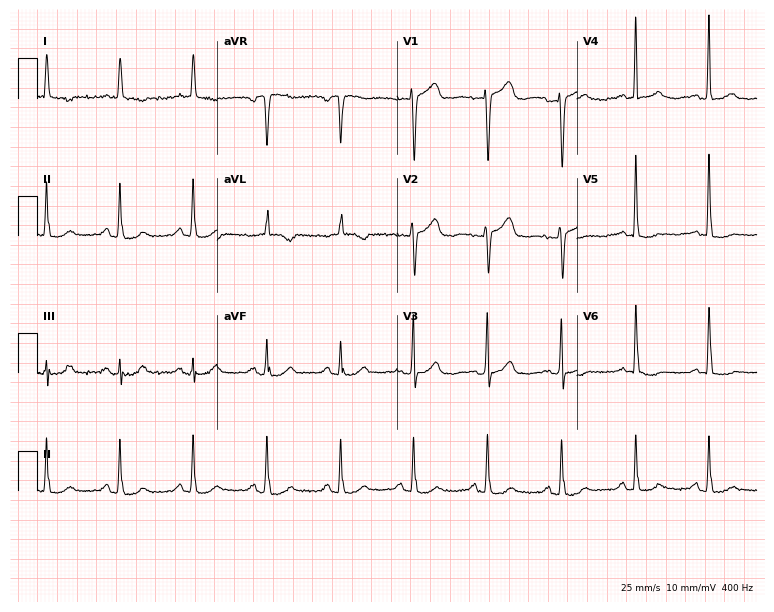
12-lead ECG from a woman, 76 years old. No first-degree AV block, right bundle branch block, left bundle branch block, sinus bradycardia, atrial fibrillation or sinus tachycardia recorded for this tracing.